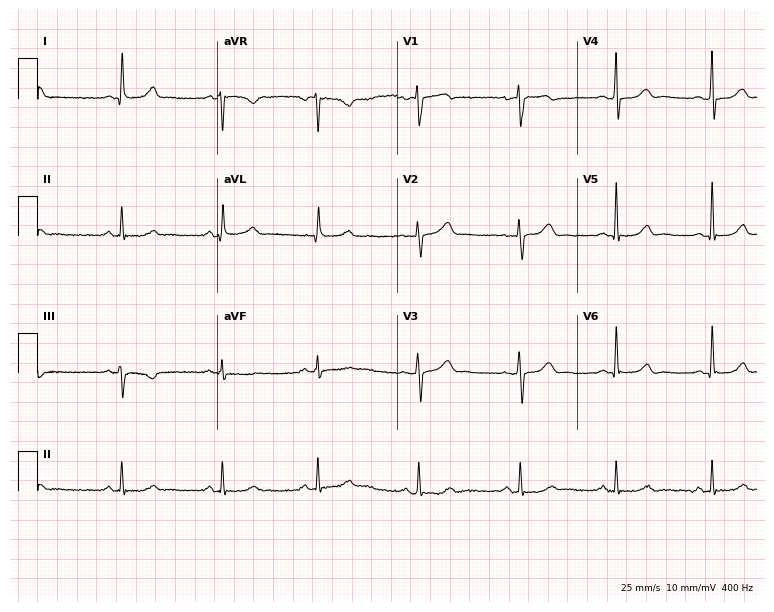
Electrocardiogram (7.3-second recording at 400 Hz), a 56-year-old female. Of the six screened findings (first-degree AV block, right bundle branch block, left bundle branch block, sinus bradycardia, atrial fibrillation, sinus tachycardia), none is recorded. Findings outside these six are not listed.